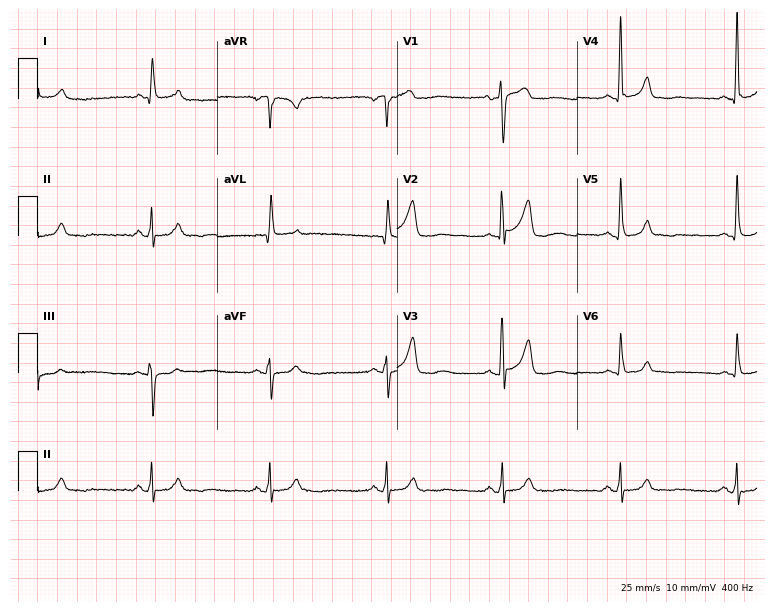
12-lead ECG from a male patient, 71 years old. Recorded interpretation: within normal limits.